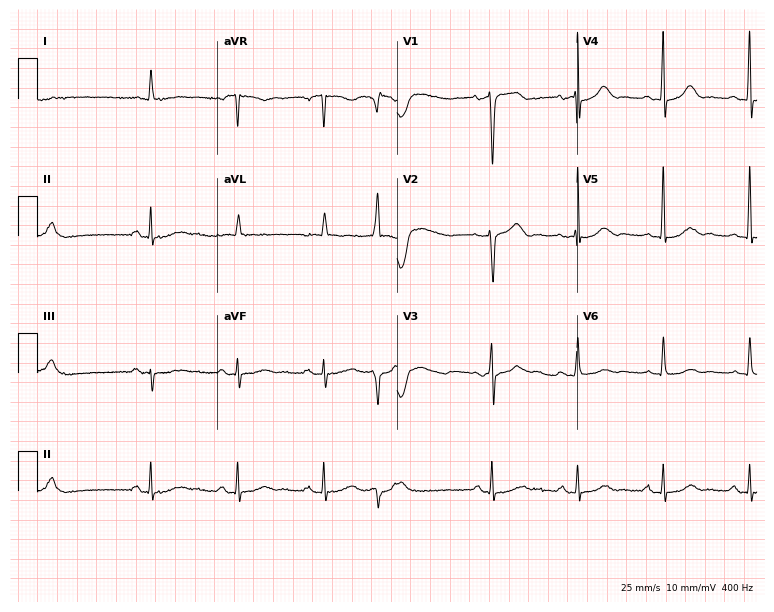
Standard 12-lead ECG recorded from an 81-year-old female. None of these six findings is recorded: first-degree AV block, right bundle branch block, left bundle branch block, sinus bradycardia, atrial fibrillation, sinus tachycardia.